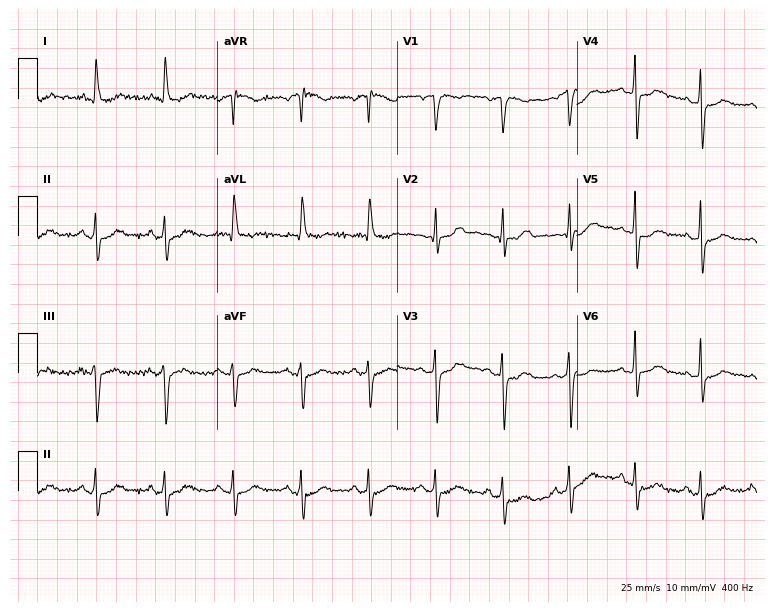
12-lead ECG from a 73-year-old female patient. Screened for six findings — first-degree AV block, right bundle branch block, left bundle branch block, sinus bradycardia, atrial fibrillation, sinus tachycardia — none is recorded.